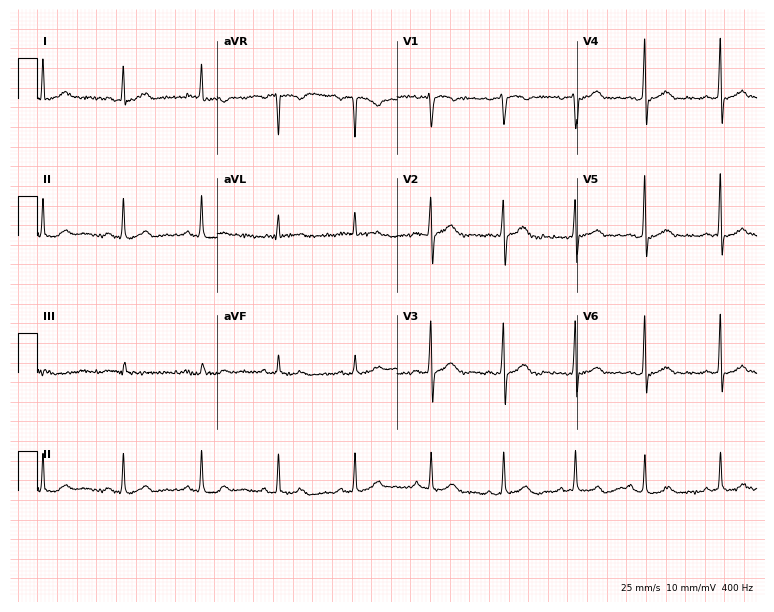
Resting 12-lead electrocardiogram. Patient: a woman, 64 years old. Read as a normal ECG.